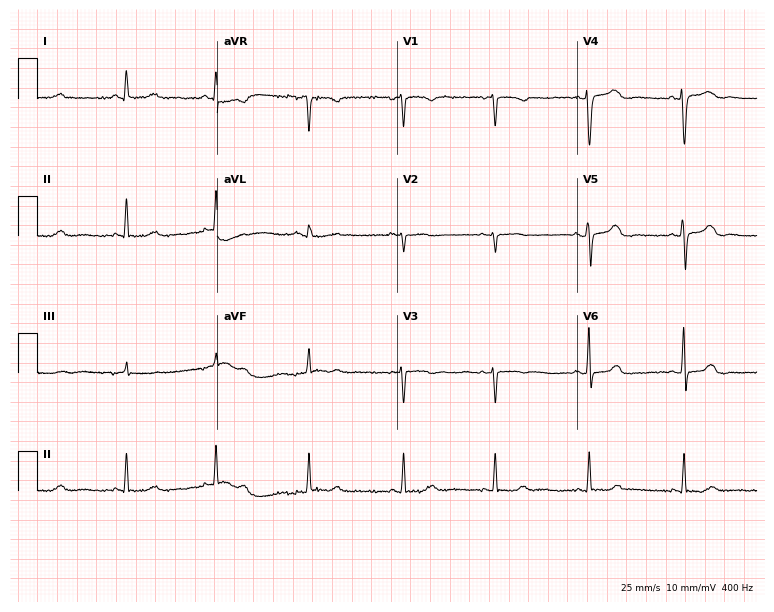
Standard 12-lead ECG recorded from a female, 33 years old. None of these six findings is recorded: first-degree AV block, right bundle branch block, left bundle branch block, sinus bradycardia, atrial fibrillation, sinus tachycardia. Findings outside these six are not listed.